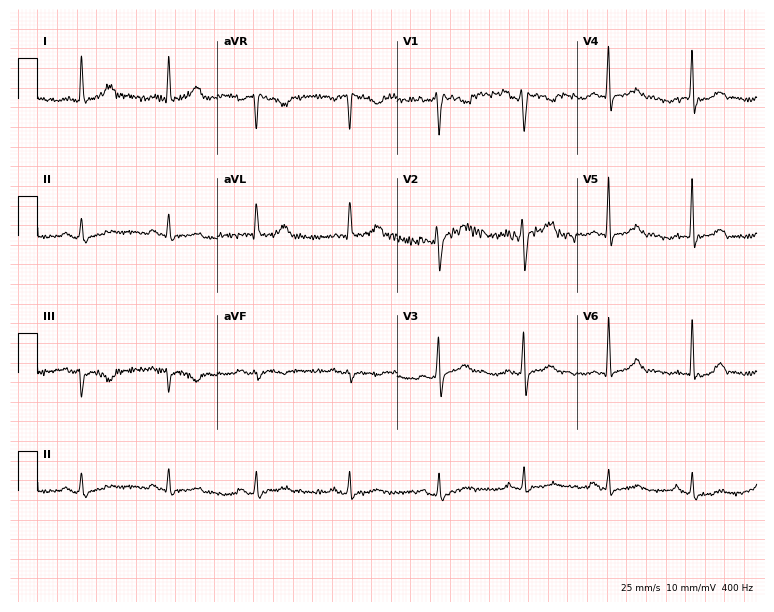
12-lead ECG from a 41-year-old male. Screened for six findings — first-degree AV block, right bundle branch block, left bundle branch block, sinus bradycardia, atrial fibrillation, sinus tachycardia — none is recorded.